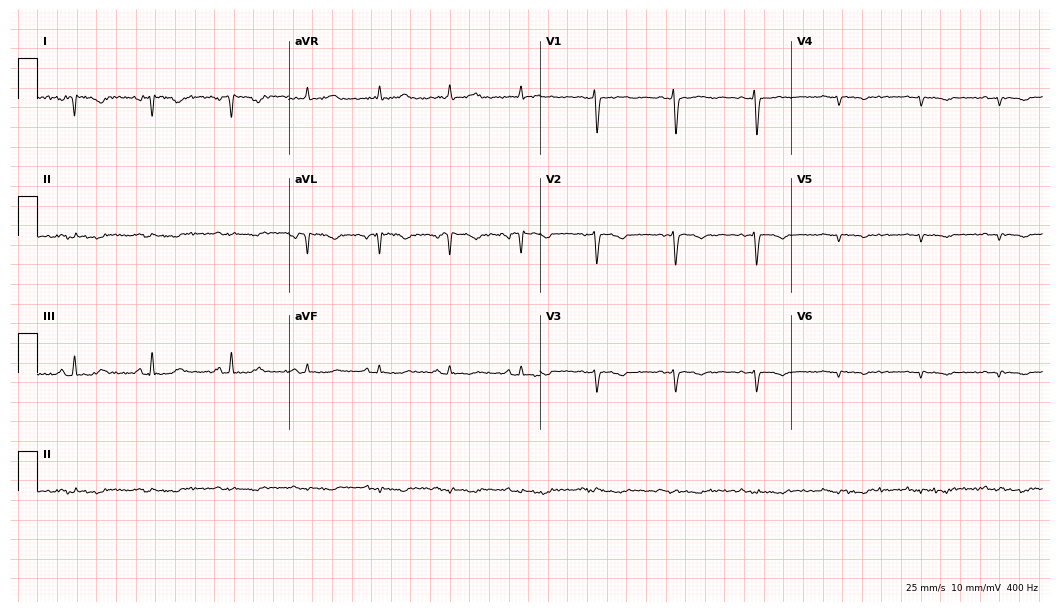
Standard 12-lead ECG recorded from a 39-year-old woman (10.2-second recording at 400 Hz). None of these six findings is recorded: first-degree AV block, right bundle branch block, left bundle branch block, sinus bradycardia, atrial fibrillation, sinus tachycardia. Findings outside these six are not listed.